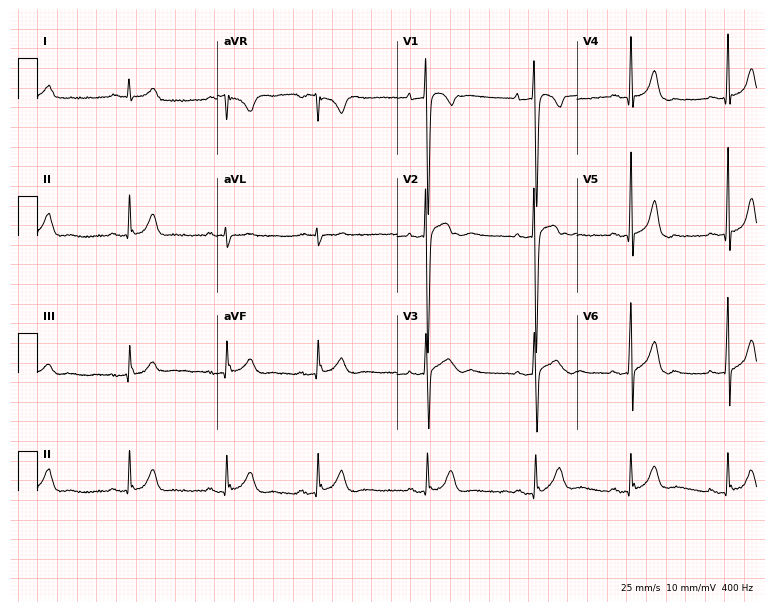
Standard 12-lead ECG recorded from a 17-year-old male patient (7.3-second recording at 400 Hz). None of these six findings is recorded: first-degree AV block, right bundle branch block, left bundle branch block, sinus bradycardia, atrial fibrillation, sinus tachycardia.